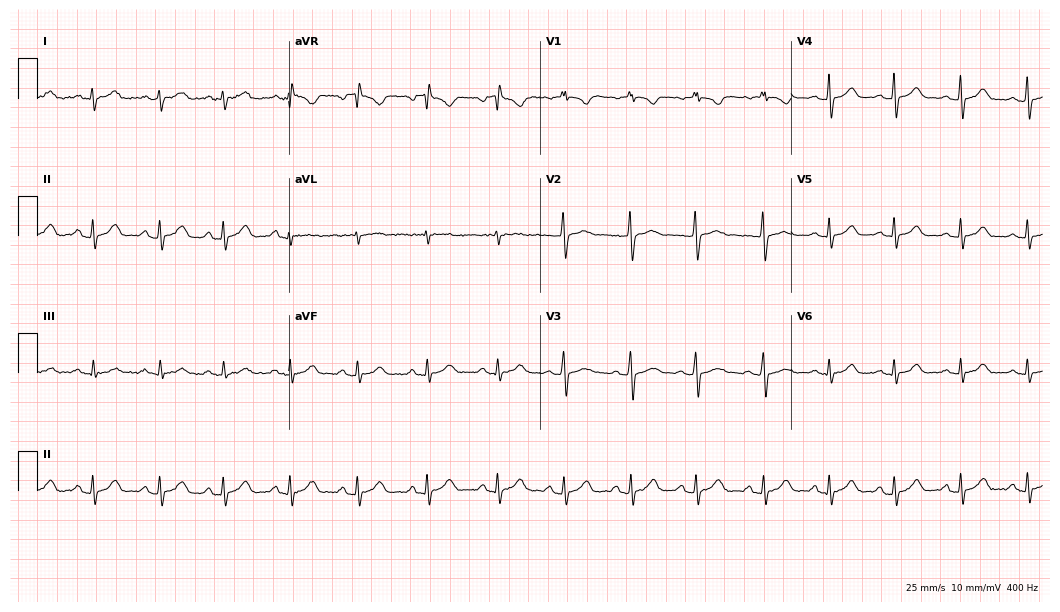
Electrocardiogram, a female, 21 years old. Of the six screened findings (first-degree AV block, right bundle branch block, left bundle branch block, sinus bradycardia, atrial fibrillation, sinus tachycardia), none is recorded. Findings outside these six are not listed.